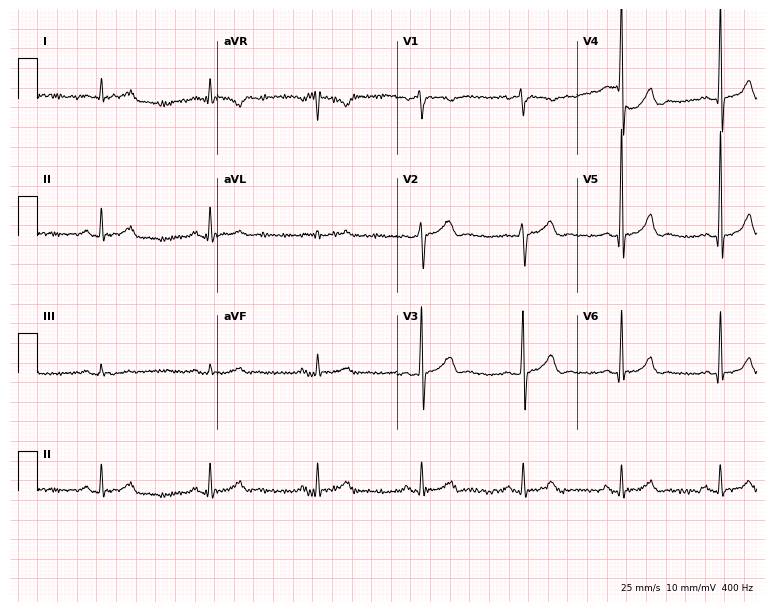
Electrocardiogram (7.3-second recording at 400 Hz), a man, 60 years old. Overall reading on record: normal ECG.